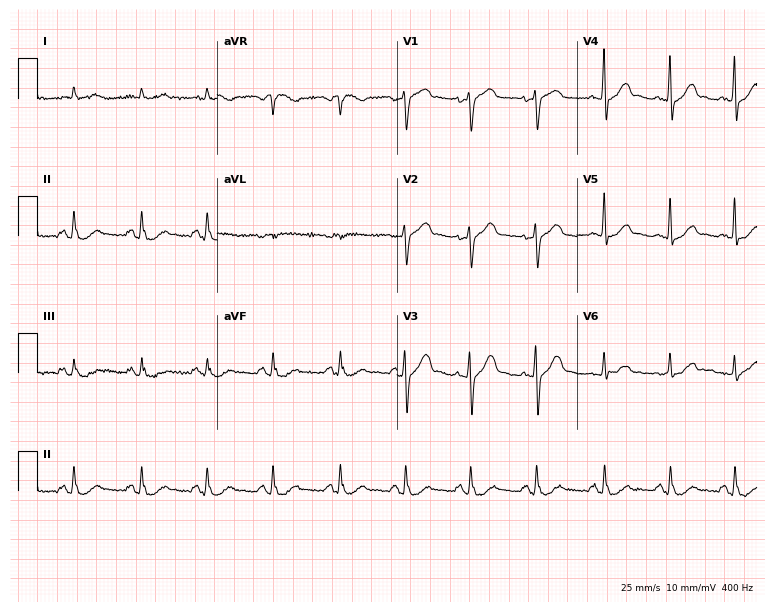
ECG — a male patient, 69 years old. Labelled as a normal ECG.